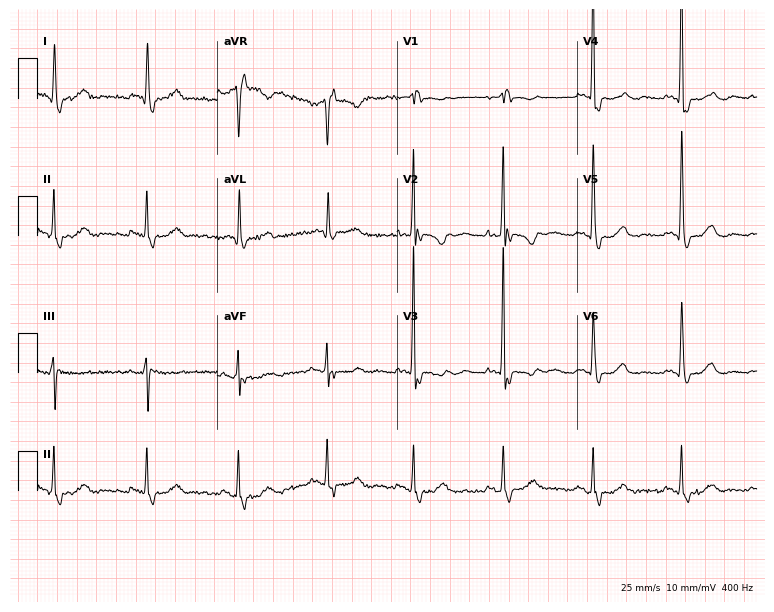
12-lead ECG (7.3-second recording at 400 Hz) from a woman, 82 years old. Findings include right bundle branch block.